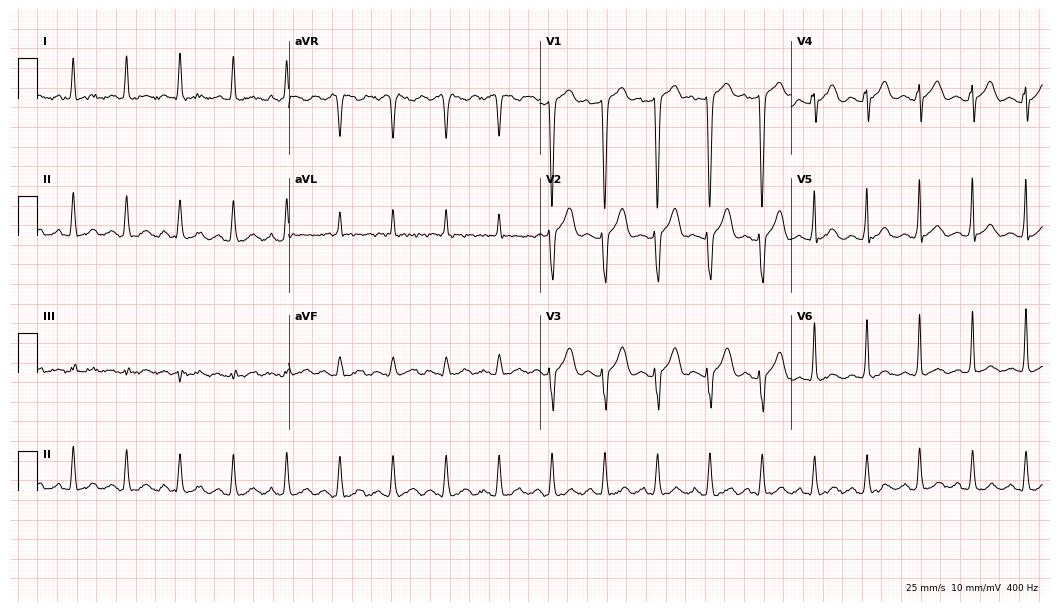
ECG — a 57-year-old male. Findings include sinus tachycardia (a sinus rate of 100 beats per minute or more).